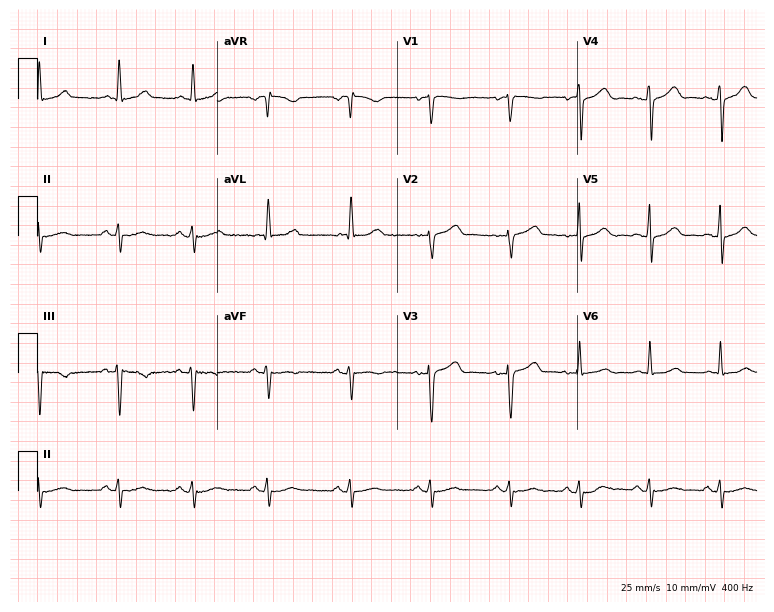
Standard 12-lead ECG recorded from a 43-year-old woman. None of these six findings is recorded: first-degree AV block, right bundle branch block, left bundle branch block, sinus bradycardia, atrial fibrillation, sinus tachycardia.